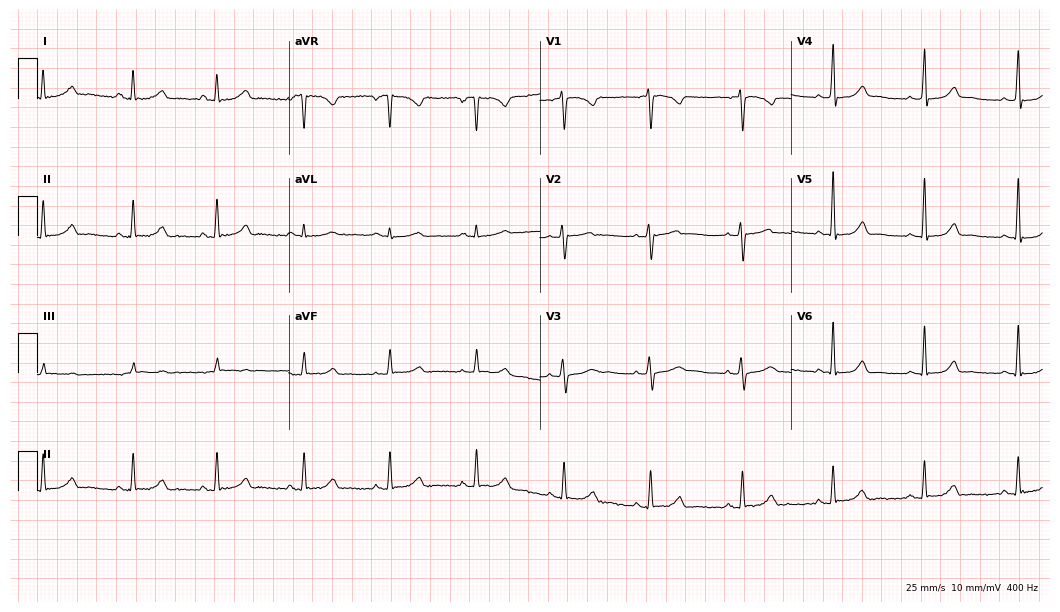
Standard 12-lead ECG recorded from a 40-year-old woman. Read as a normal ECG.